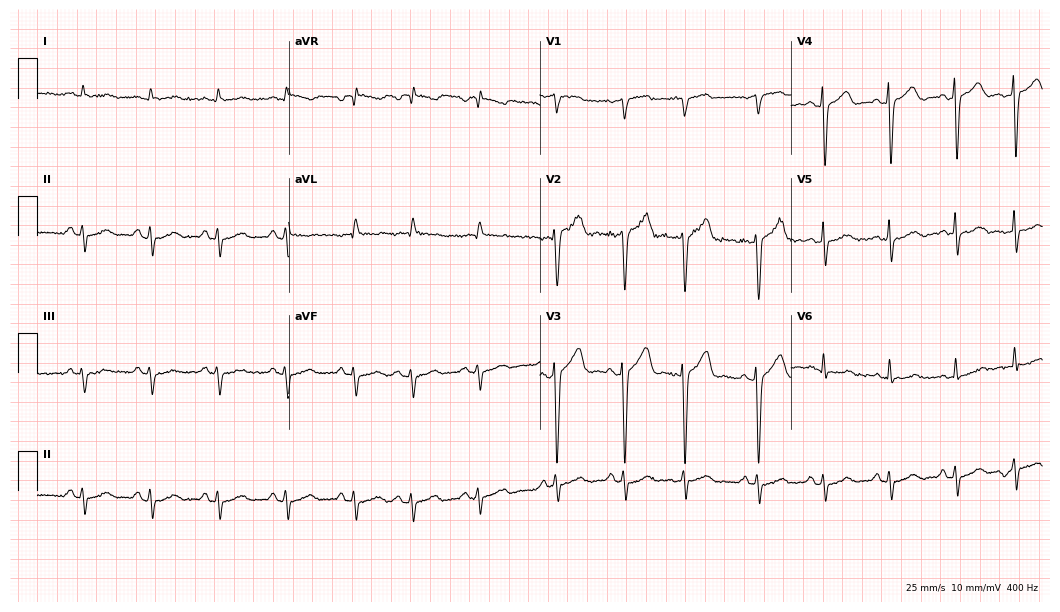
Standard 12-lead ECG recorded from an 81-year-old male. None of these six findings is recorded: first-degree AV block, right bundle branch block, left bundle branch block, sinus bradycardia, atrial fibrillation, sinus tachycardia. Only these six findings were labelled.